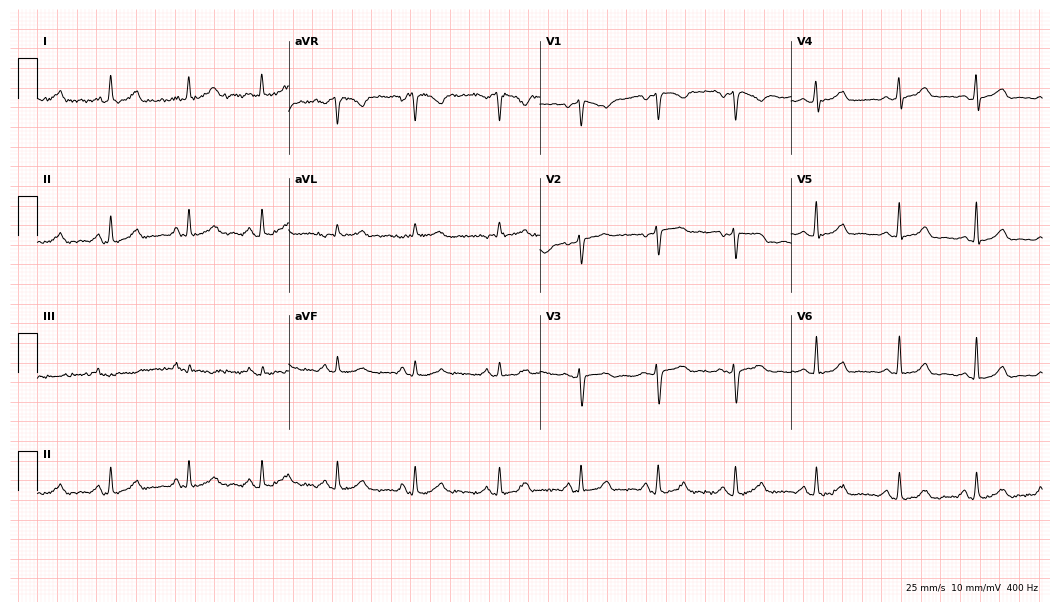
ECG — a 44-year-old woman. Labelled as a normal ECG.